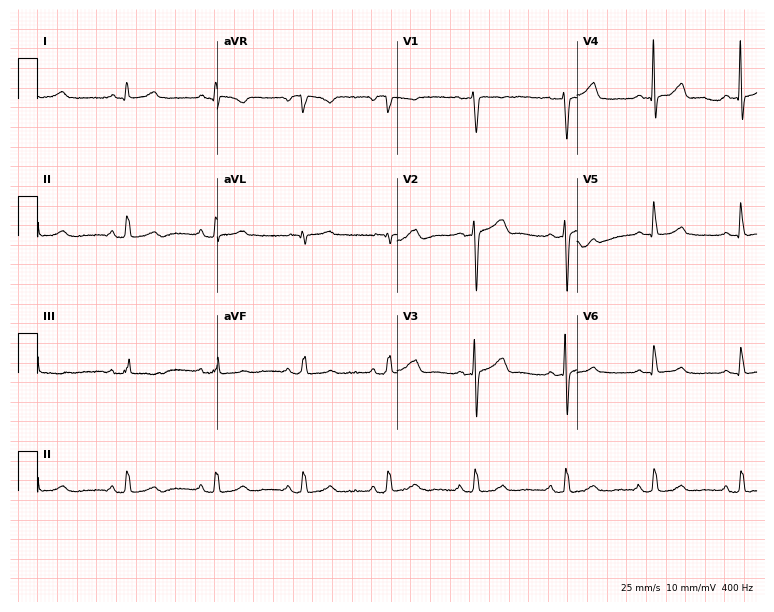
Resting 12-lead electrocardiogram. Patient: a female, 47 years old. None of these six findings is recorded: first-degree AV block, right bundle branch block, left bundle branch block, sinus bradycardia, atrial fibrillation, sinus tachycardia.